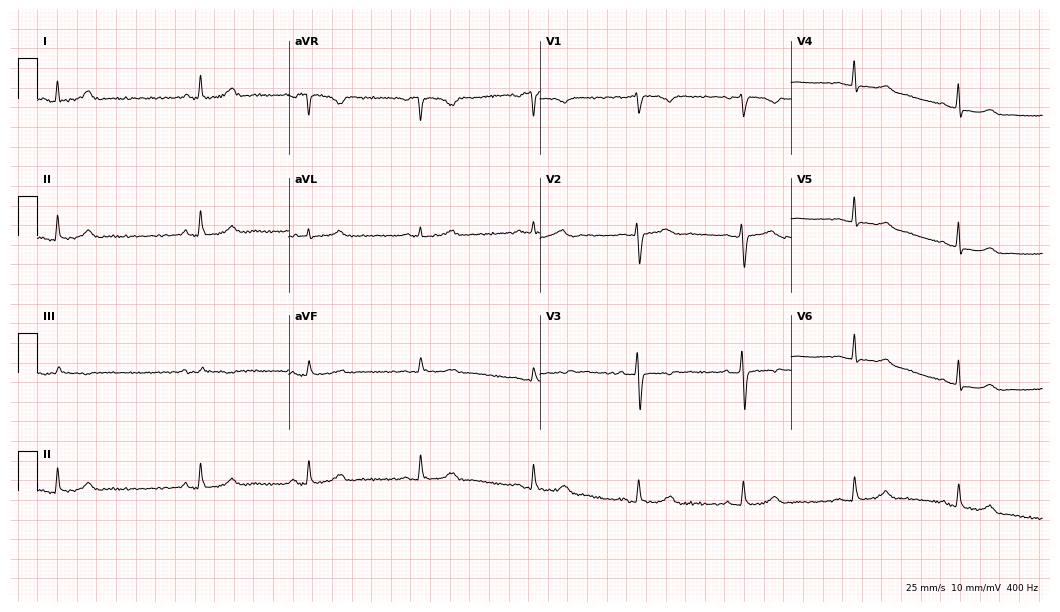
12-lead ECG from a 48-year-old female. Recorded interpretation: within normal limits.